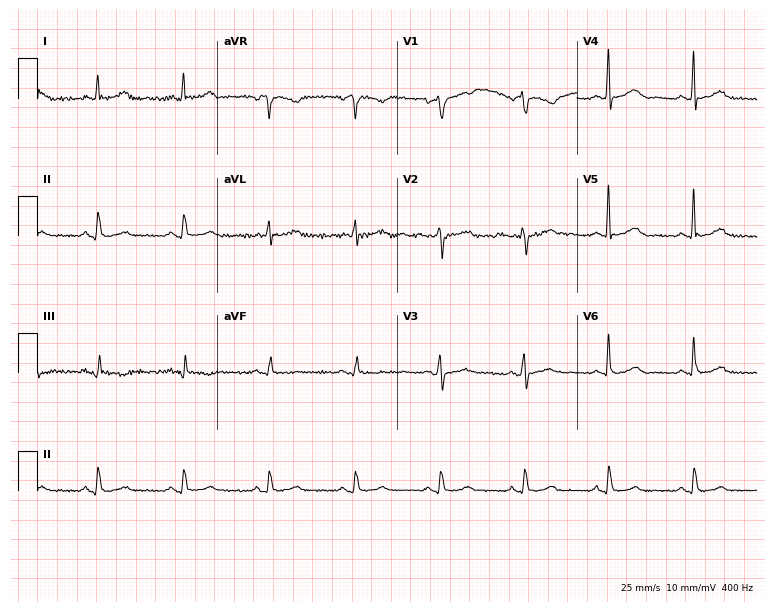
Electrocardiogram, a 59-year-old female. Overall reading on record: normal ECG.